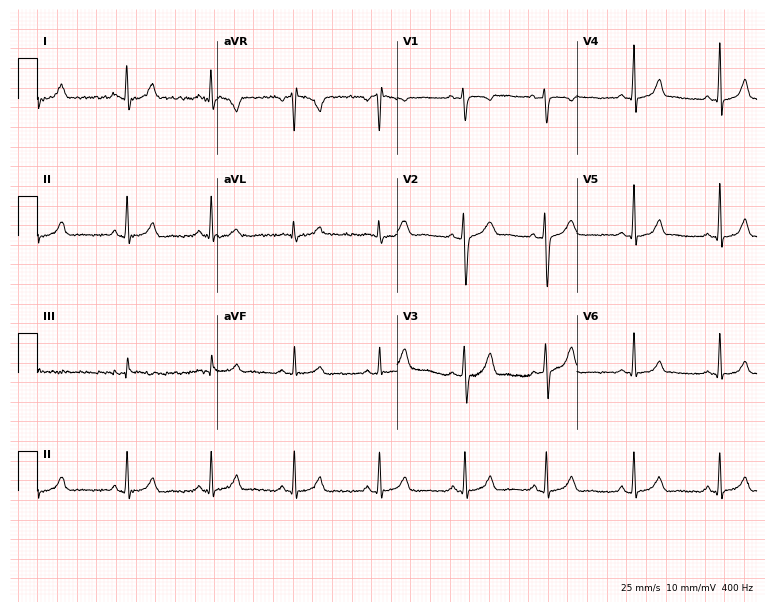
ECG — a 25-year-old female patient. Labelled as a normal ECG.